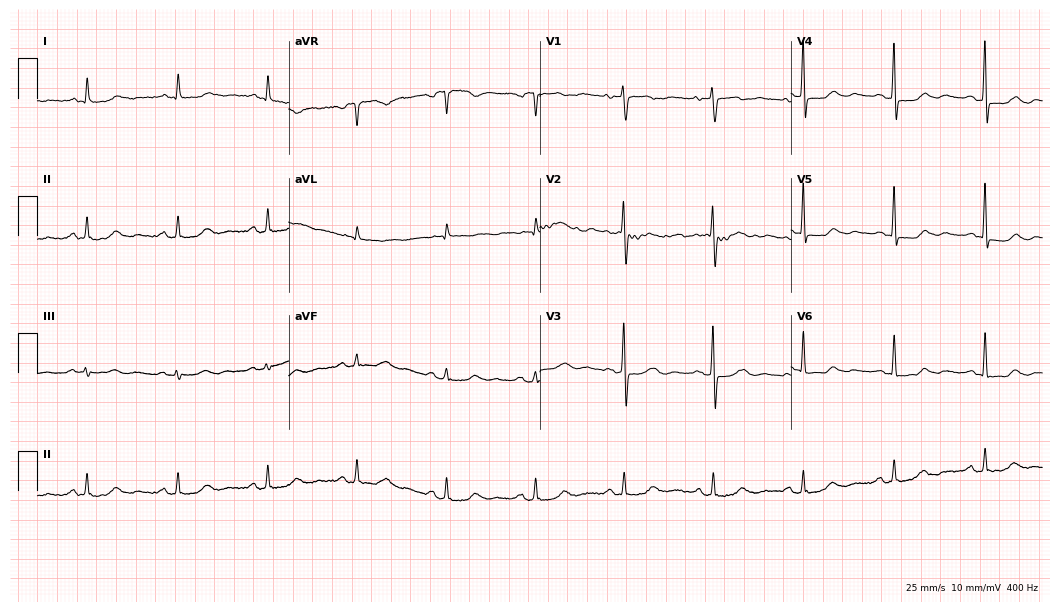
Electrocardiogram (10.2-second recording at 400 Hz), a 69-year-old female. Of the six screened findings (first-degree AV block, right bundle branch block, left bundle branch block, sinus bradycardia, atrial fibrillation, sinus tachycardia), none is recorded. Other findings, if any, are not listed.